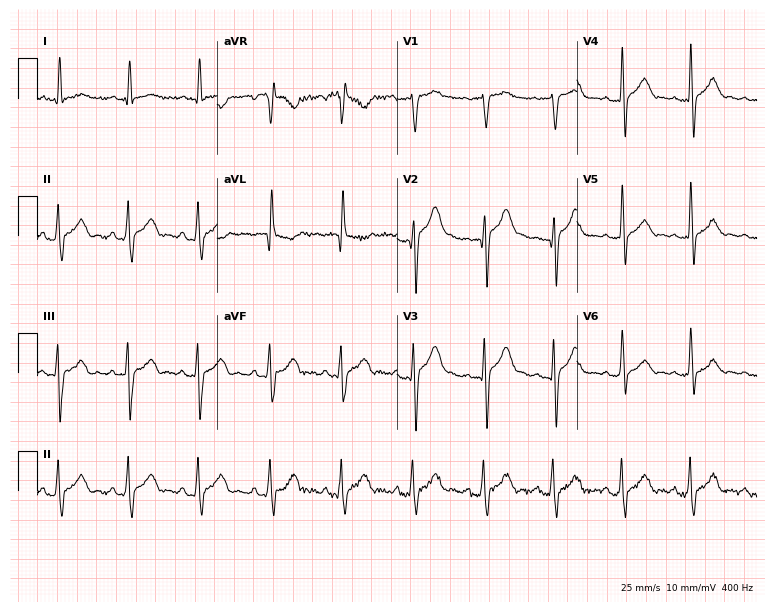
12-lead ECG from a male patient, 37 years old (7.3-second recording at 400 Hz). Recorded interpretation: within normal limits.